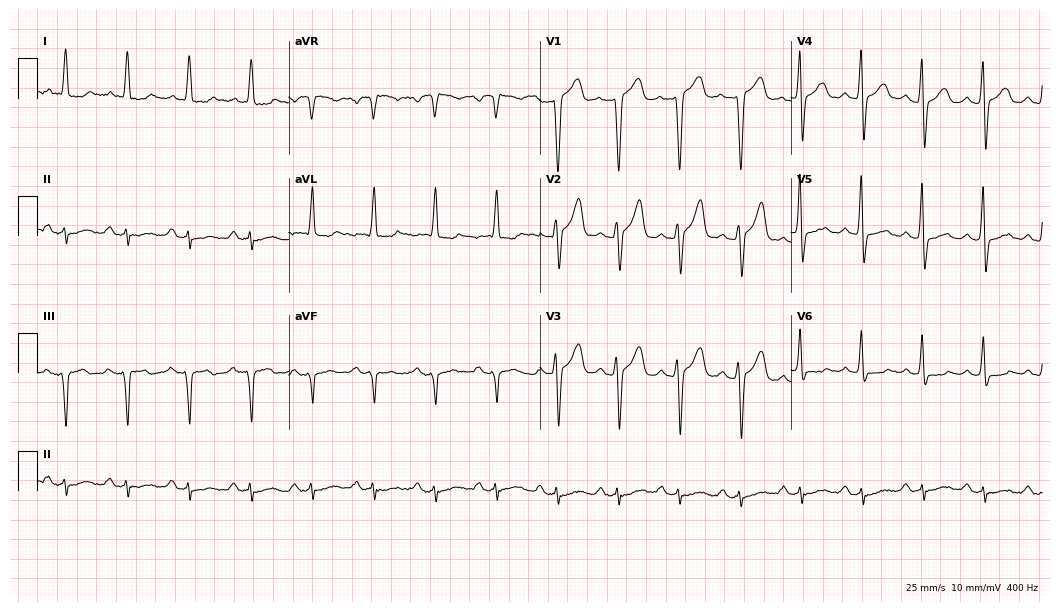
12-lead ECG (10.2-second recording at 400 Hz) from a 62-year-old male. Screened for six findings — first-degree AV block, right bundle branch block (RBBB), left bundle branch block (LBBB), sinus bradycardia, atrial fibrillation (AF), sinus tachycardia — none is recorded.